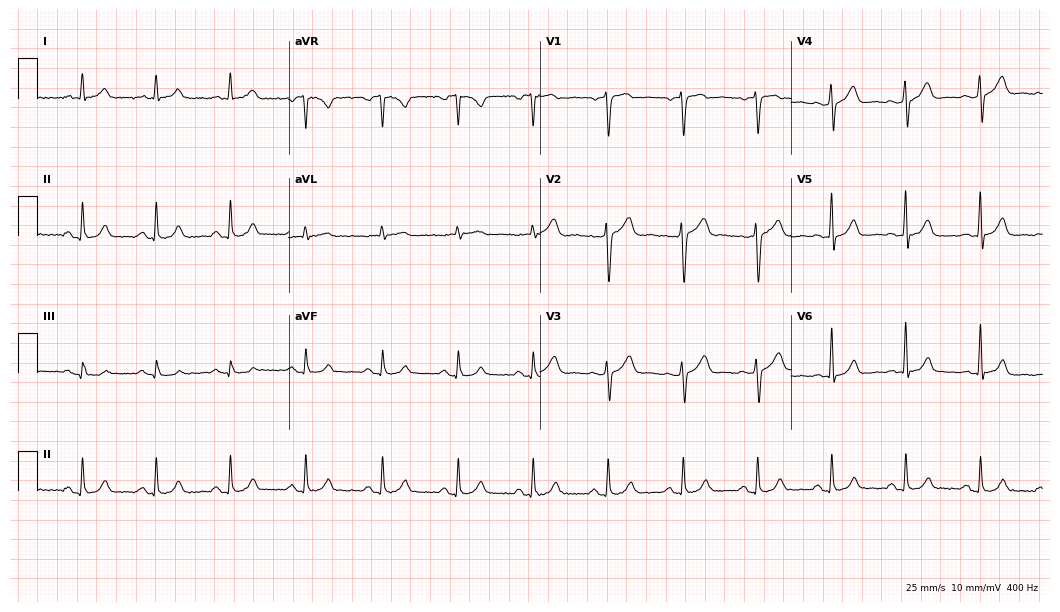
ECG (10.2-second recording at 400 Hz) — a male patient, 42 years old. Screened for six findings — first-degree AV block, right bundle branch block (RBBB), left bundle branch block (LBBB), sinus bradycardia, atrial fibrillation (AF), sinus tachycardia — none is recorded.